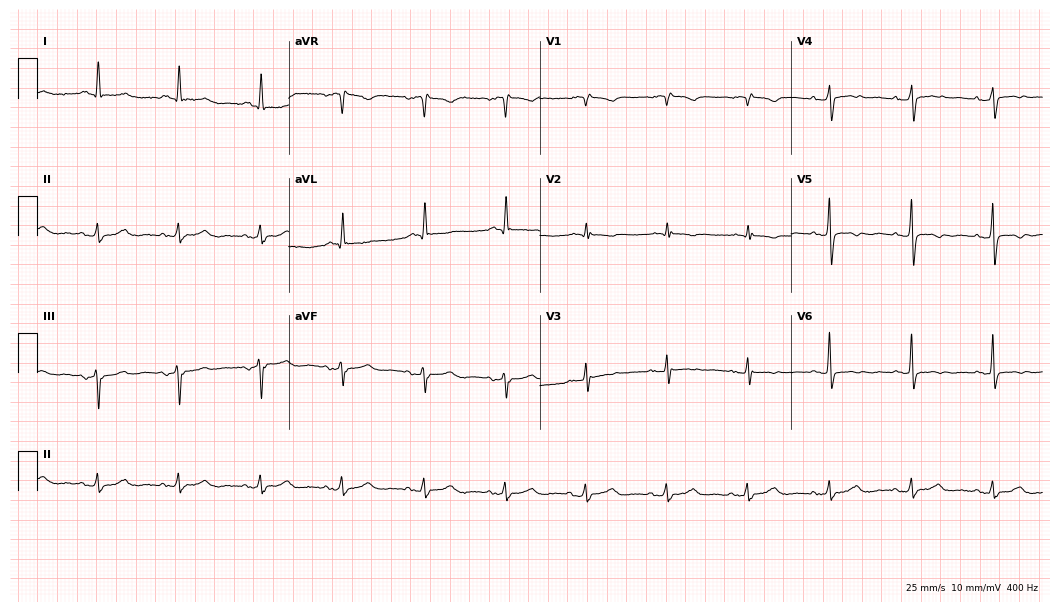
12-lead ECG (10.2-second recording at 400 Hz) from a female patient, 78 years old. Screened for six findings — first-degree AV block, right bundle branch block, left bundle branch block, sinus bradycardia, atrial fibrillation, sinus tachycardia — none is recorded. Only these six findings were labelled.